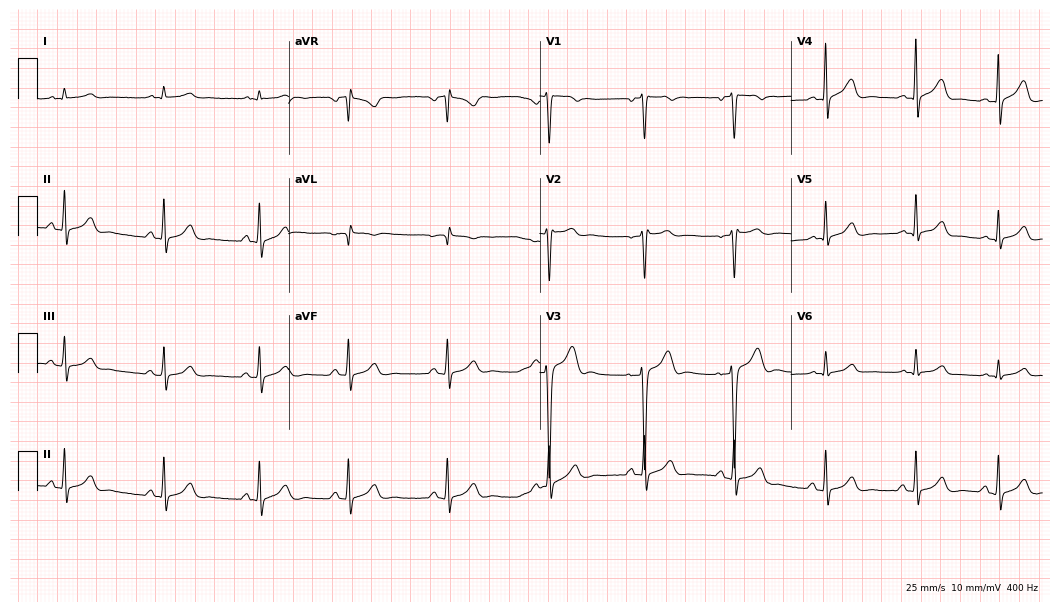
Resting 12-lead electrocardiogram. Patient: a 21-year-old man. Read as a normal ECG.